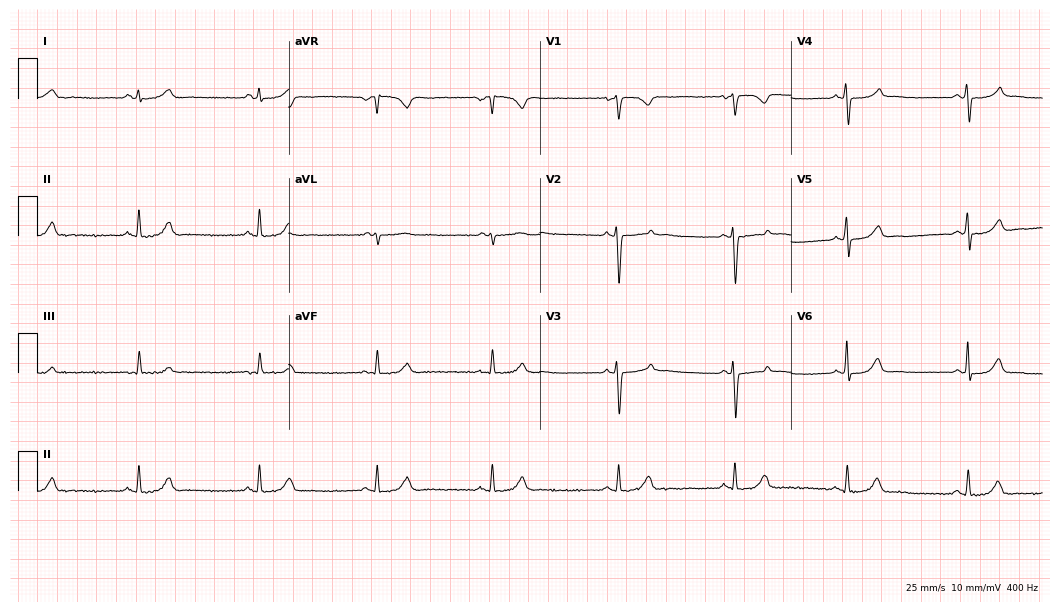
Standard 12-lead ECG recorded from a 31-year-old female. None of these six findings is recorded: first-degree AV block, right bundle branch block, left bundle branch block, sinus bradycardia, atrial fibrillation, sinus tachycardia. Only these six findings were labelled.